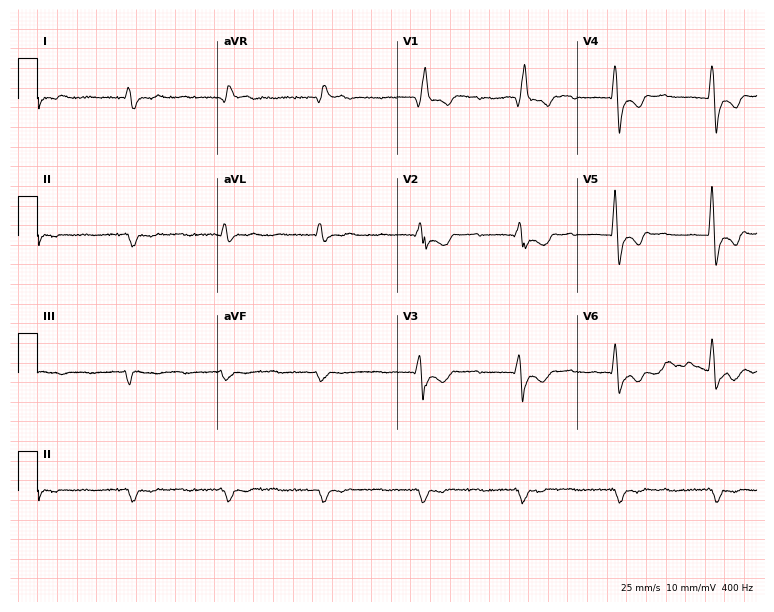
Electrocardiogram, a woman, 84 years old. Interpretation includes right bundle branch block (RBBB).